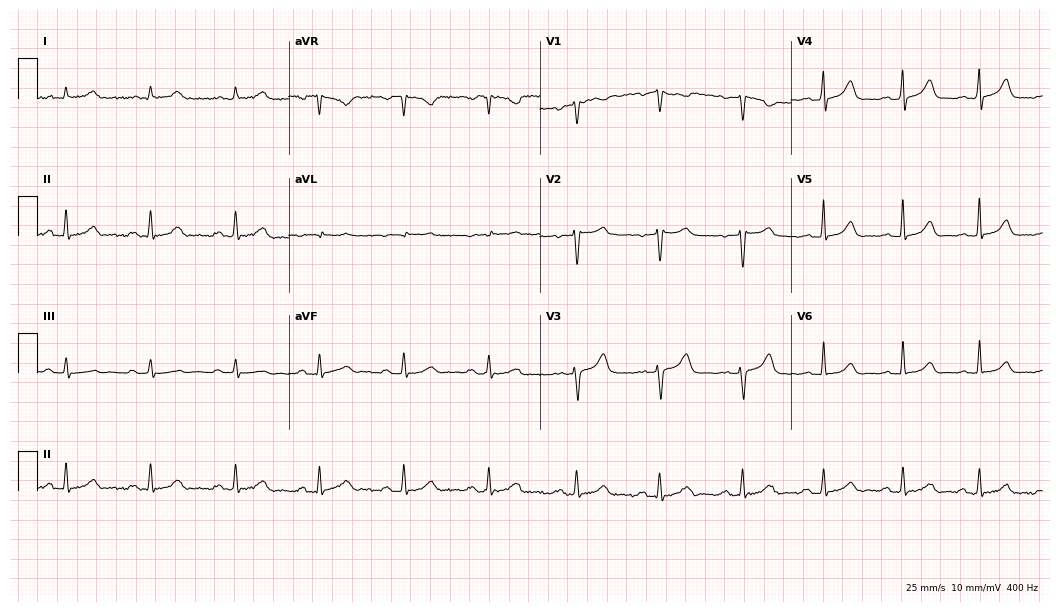
Resting 12-lead electrocardiogram. Patient: a female, 48 years old. None of these six findings is recorded: first-degree AV block, right bundle branch block, left bundle branch block, sinus bradycardia, atrial fibrillation, sinus tachycardia.